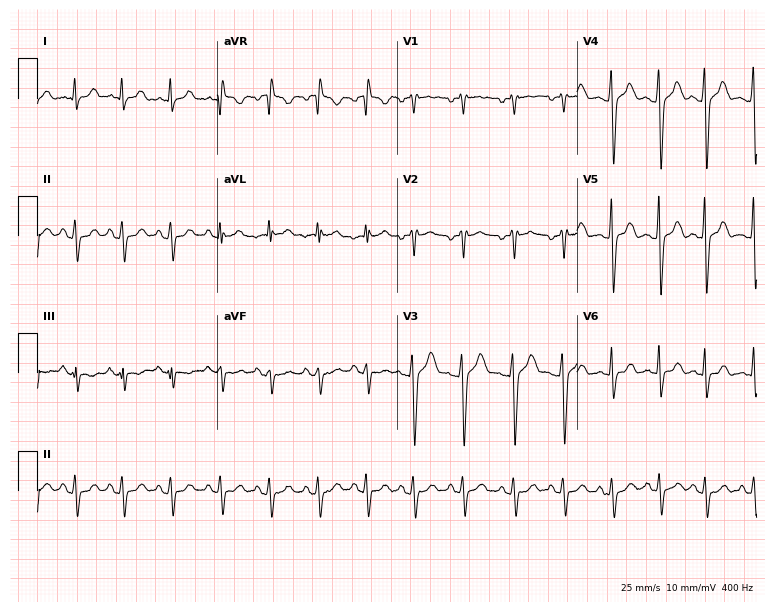
ECG — a female patient, 43 years old. Screened for six findings — first-degree AV block, right bundle branch block, left bundle branch block, sinus bradycardia, atrial fibrillation, sinus tachycardia — none is recorded. Other findings, if any, are not listed.